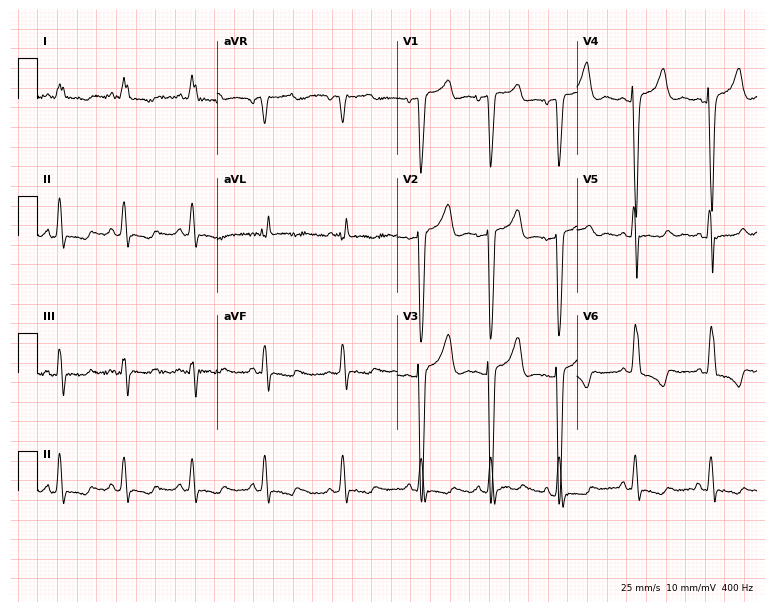
Standard 12-lead ECG recorded from a woman, 79 years old. None of these six findings is recorded: first-degree AV block, right bundle branch block (RBBB), left bundle branch block (LBBB), sinus bradycardia, atrial fibrillation (AF), sinus tachycardia.